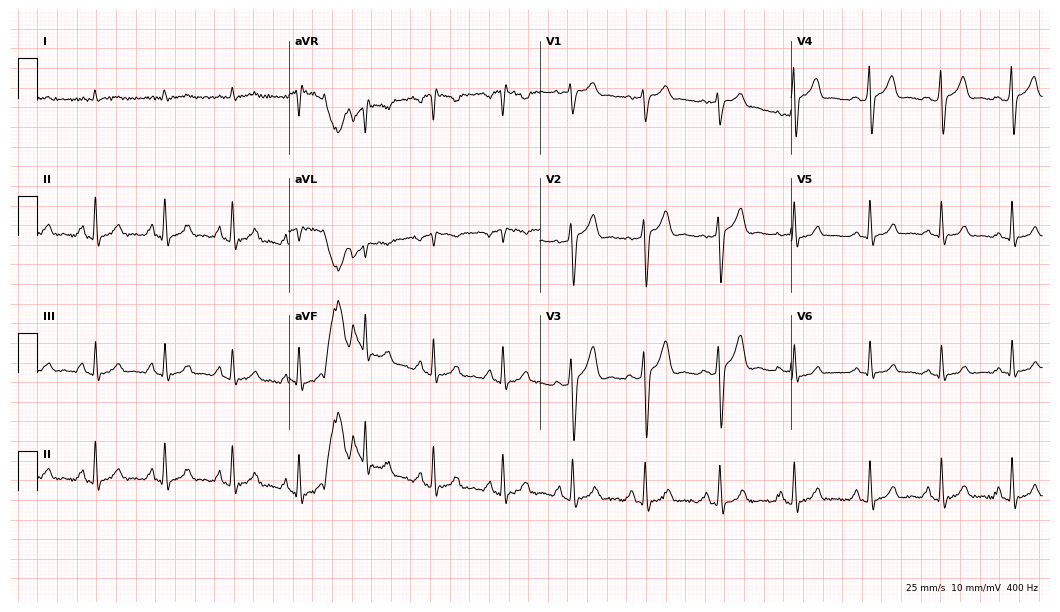
12-lead ECG from a male, 25 years old. Recorded interpretation: within normal limits.